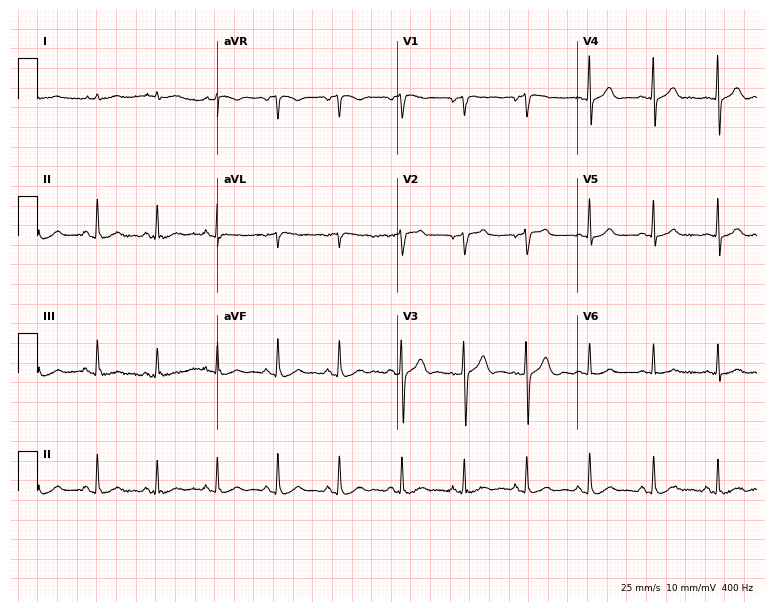
Standard 12-lead ECG recorded from a 68-year-old woman (7.3-second recording at 400 Hz). Read as a normal ECG.